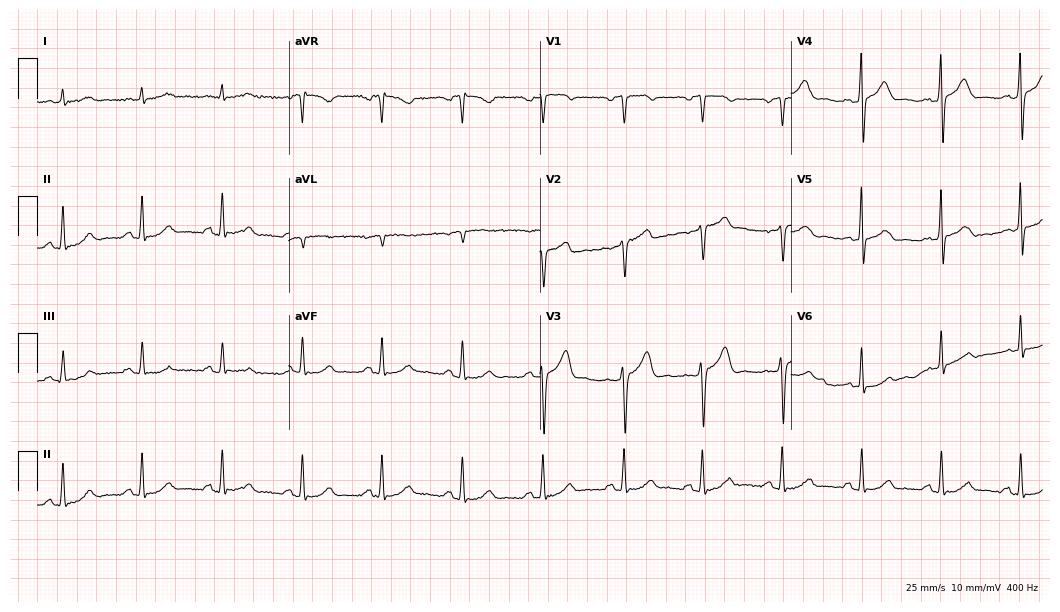
ECG — a 60-year-old male. Screened for six findings — first-degree AV block, right bundle branch block (RBBB), left bundle branch block (LBBB), sinus bradycardia, atrial fibrillation (AF), sinus tachycardia — none is recorded. Only these six findings were labelled.